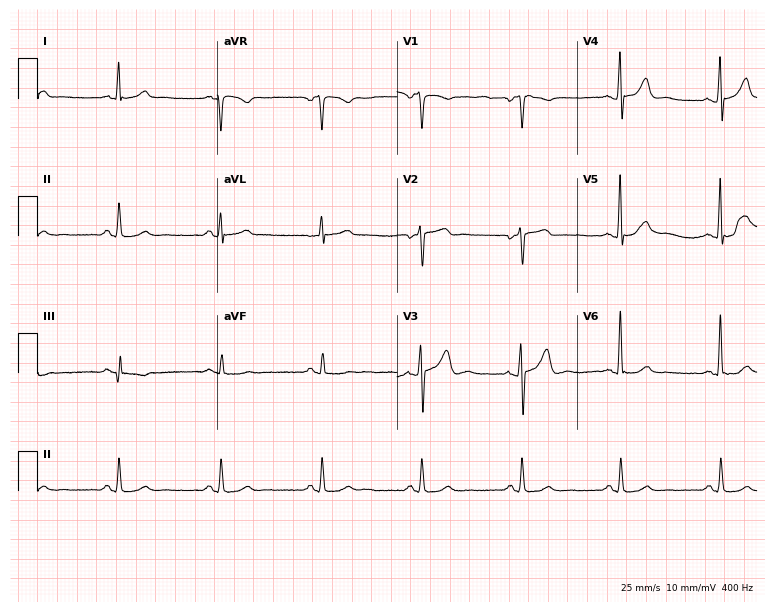
Resting 12-lead electrocardiogram (7.3-second recording at 400 Hz). Patient: a 67-year-old male. Read as a normal ECG.